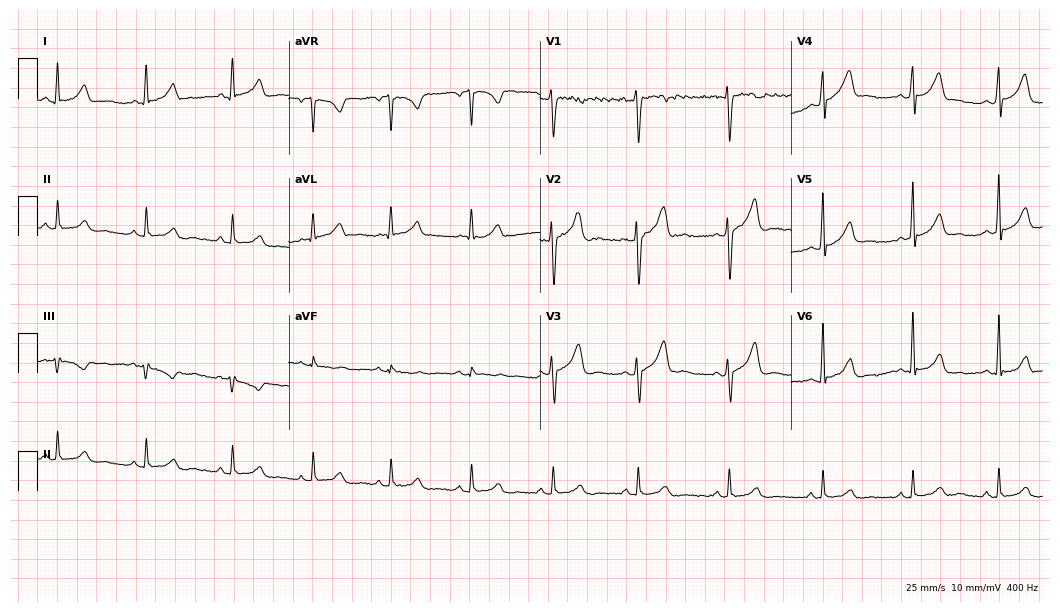
ECG — a man, 41 years old. Screened for six findings — first-degree AV block, right bundle branch block (RBBB), left bundle branch block (LBBB), sinus bradycardia, atrial fibrillation (AF), sinus tachycardia — none is recorded. Only these six findings were labelled.